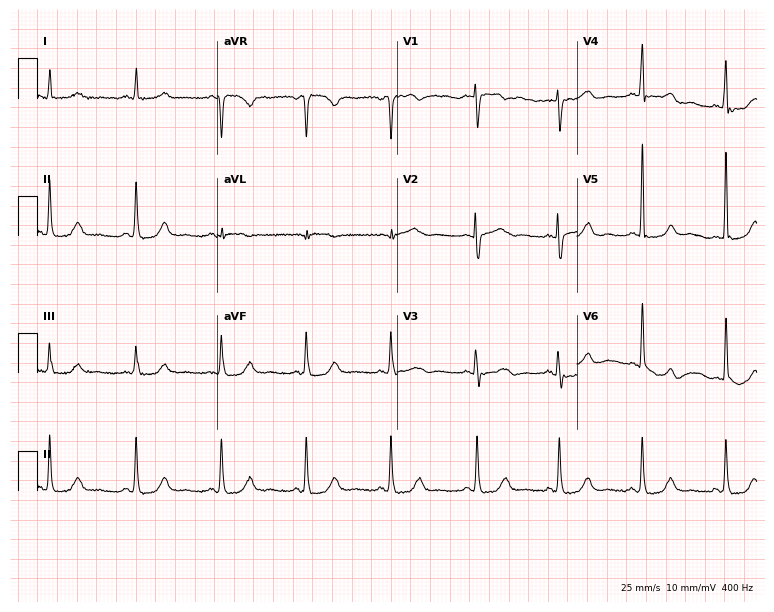
Electrocardiogram (7.3-second recording at 400 Hz), a female patient, 63 years old. Of the six screened findings (first-degree AV block, right bundle branch block, left bundle branch block, sinus bradycardia, atrial fibrillation, sinus tachycardia), none is recorded. Only these six findings were labelled.